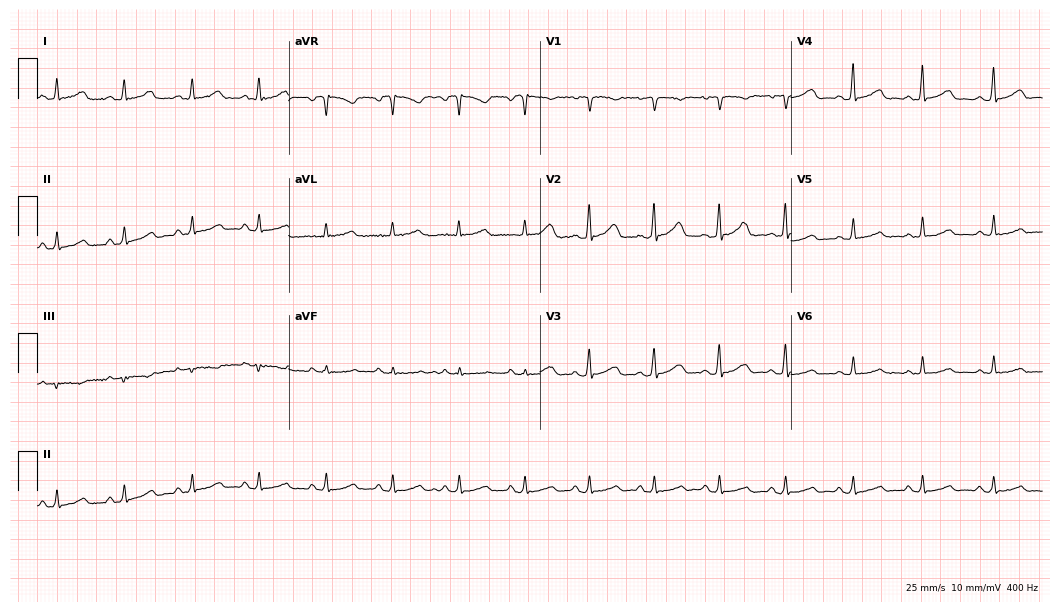
12-lead ECG from a female patient, 56 years old. Labelled as a normal ECG.